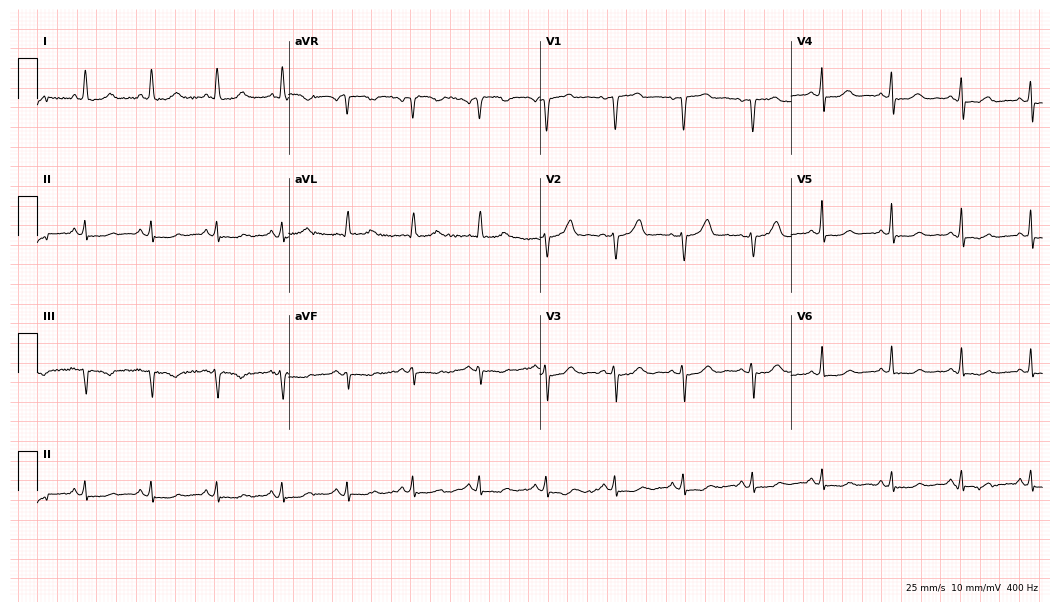
Standard 12-lead ECG recorded from a 50-year-old woman (10.2-second recording at 400 Hz). None of these six findings is recorded: first-degree AV block, right bundle branch block, left bundle branch block, sinus bradycardia, atrial fibrillation, sinus tachycardia. Other findings, if any, are not listed.